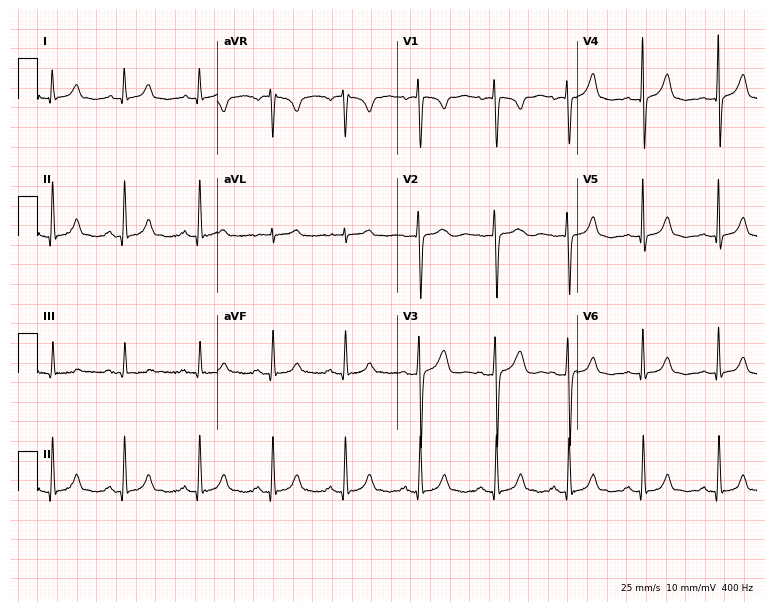
12-lead ECG (7.3-second recording at 400 Hz) from a female patient, 27 years old. Labelled as a normal ECG.